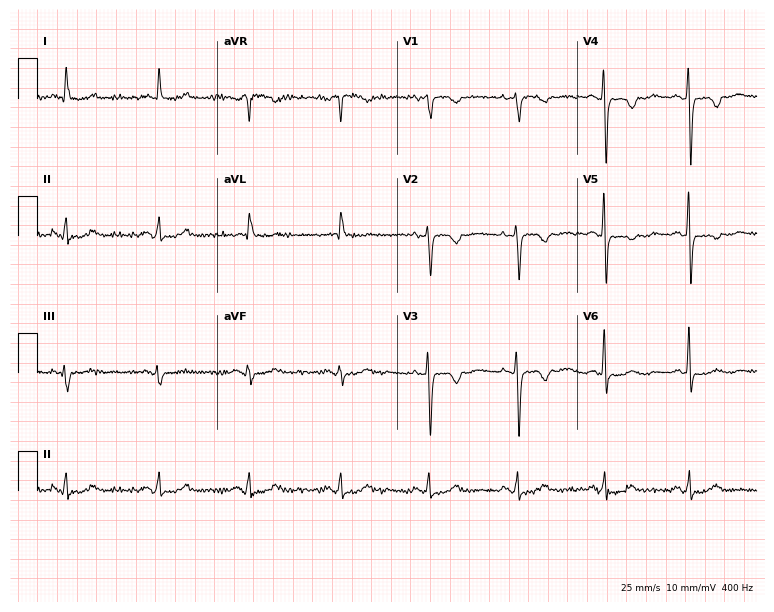
12-lead ECG from a 71-year-old female. Screened for six findings — first-degree AV block, right bundle branch block (RBBB), left bundle branch block (LBBB), sinus bradycardia, atrial fibrillation (AF), sinus tachycardia — none is recorded.